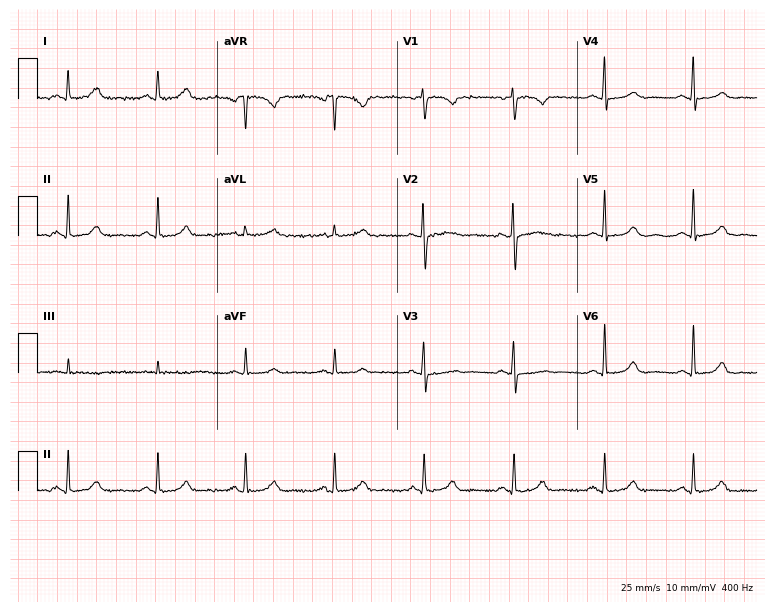
Resting 12-lead electrocardiogram (7.3-second recording at 400 Hz). Patient: a female, 54 years old. None of these six findings is recorded: first-degree AV block, right bundle branch block (RBBB), left bundle branch block (LBBB), sinus bradycardia, atrial fibrillation (AF), sinus tachycardia.